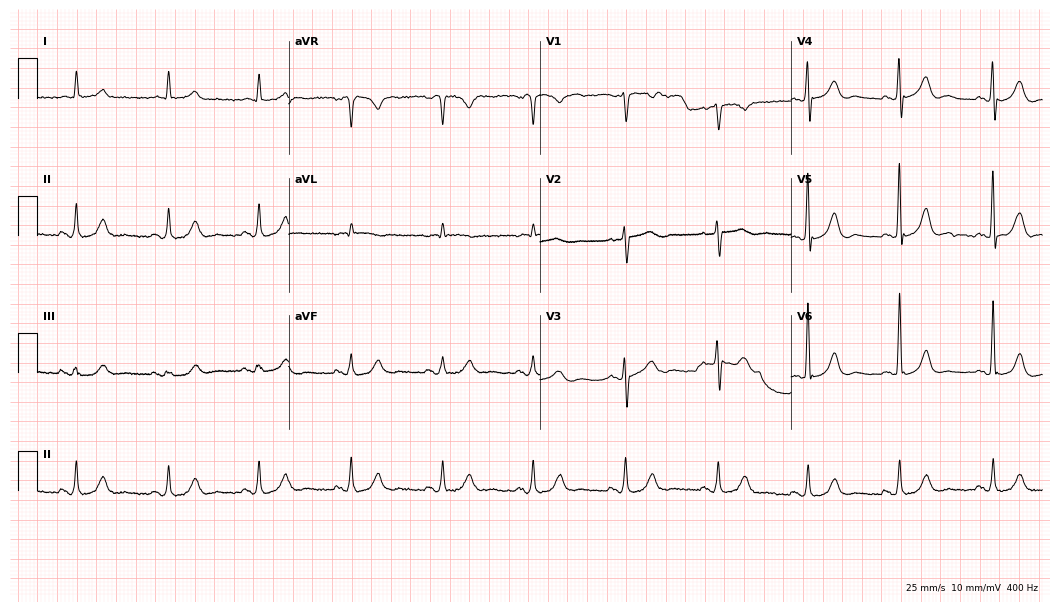
Standard 12-lead ECG recorded from a 79-year-old male. Read as a normal ECG.